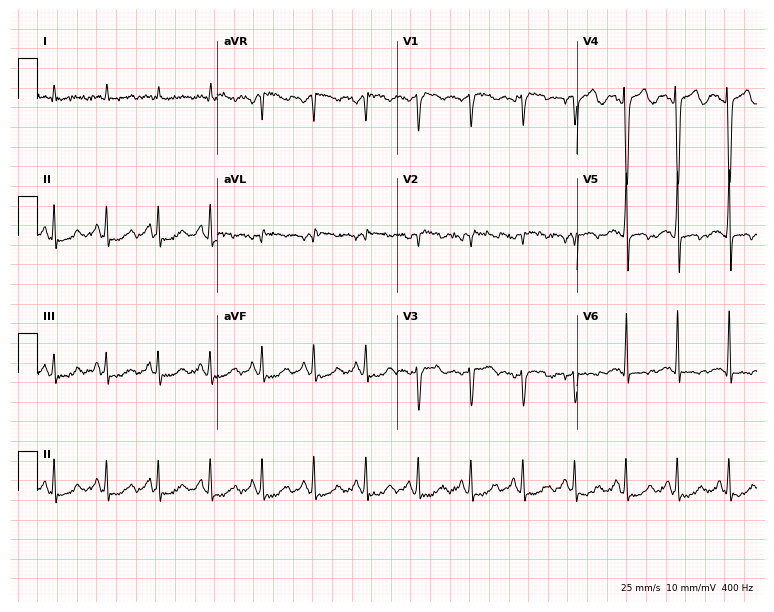
12-lead ECG from a male patient, 55 years old. Shows sinus tachycardia (a sinus rate of 100 beats per minute or more).